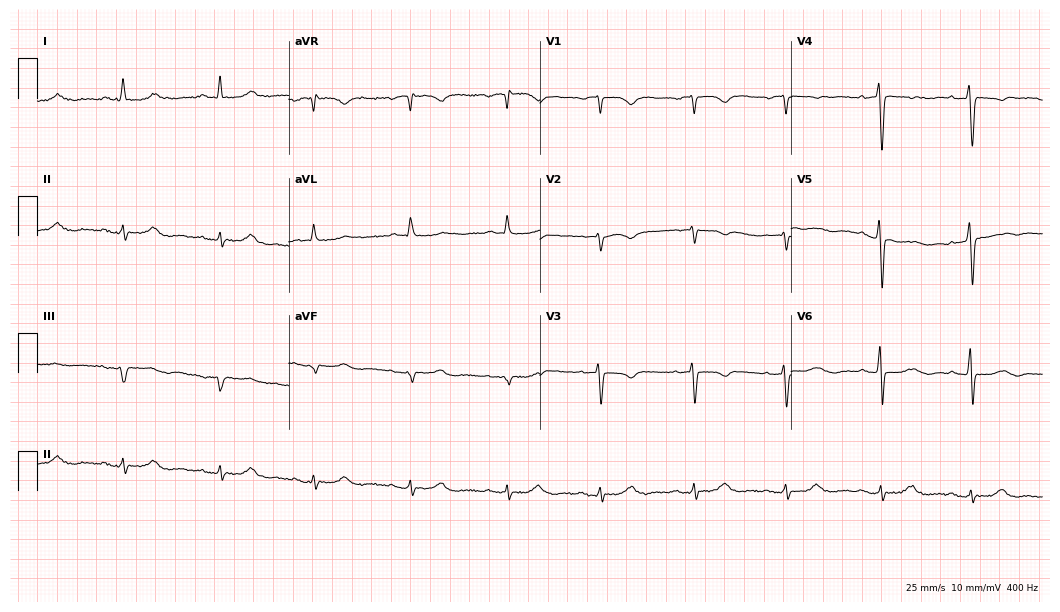
Resting 12-lead electrocardiogram. Patient: an 84-year-old female. None of these six findings is recorded: first-degree AV block, right bundle branch block, left bundle branch block, sinus bradycardia, atrial fibrillation, sinus tachycardia. Findings outside these six are not listed.